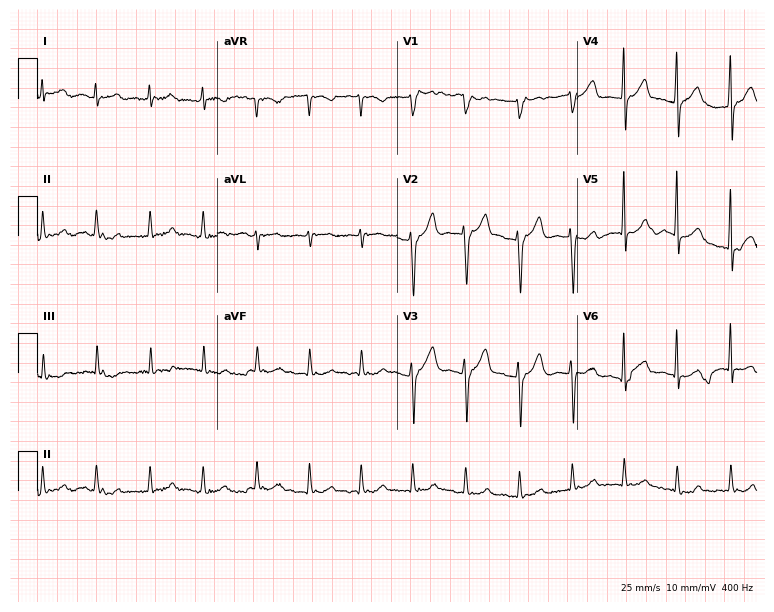
12-lead ECG (7.3-second recording at 400 Hz) from a male patient, 71 years old. Findings include sinus tachycardia (a sinus rate of 100 beats per minute or more).